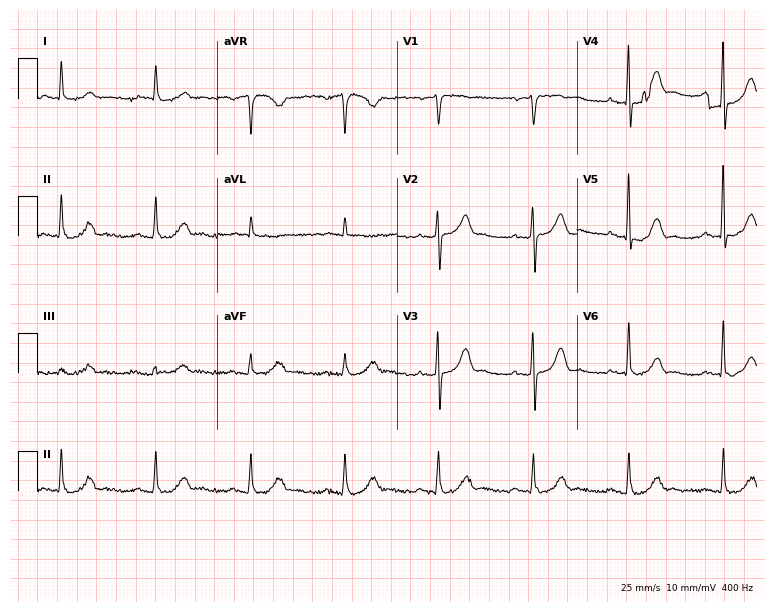
12-lead ECG (7.3-second recording at 400 Hz) from an 80-year-old man. Labelled as a normal ECG.